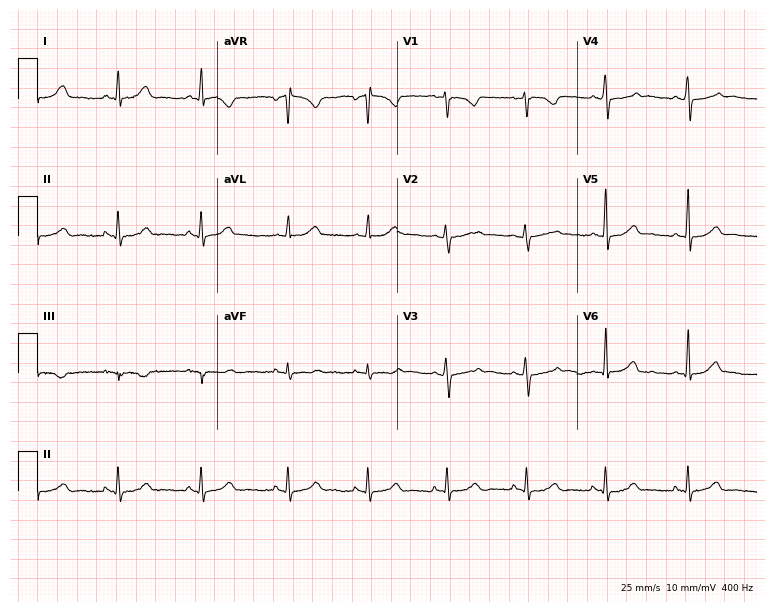
12-lead ECG (7.3-second recording at 400 Hz) from a 40-year-old woman. Labelled as a normal ECG.